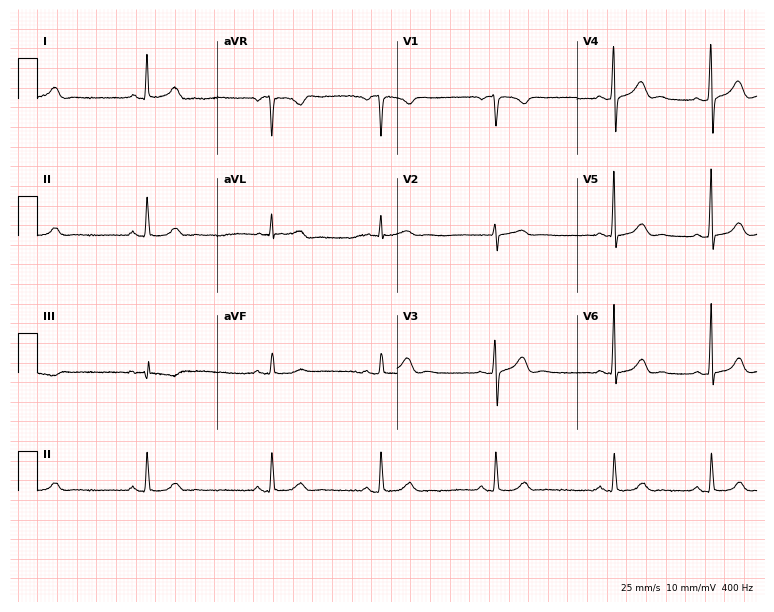
12-lead ECG (7.3-second recording at 400 Hz) from a 39-year-old woman. Labelled as a normal ECG.